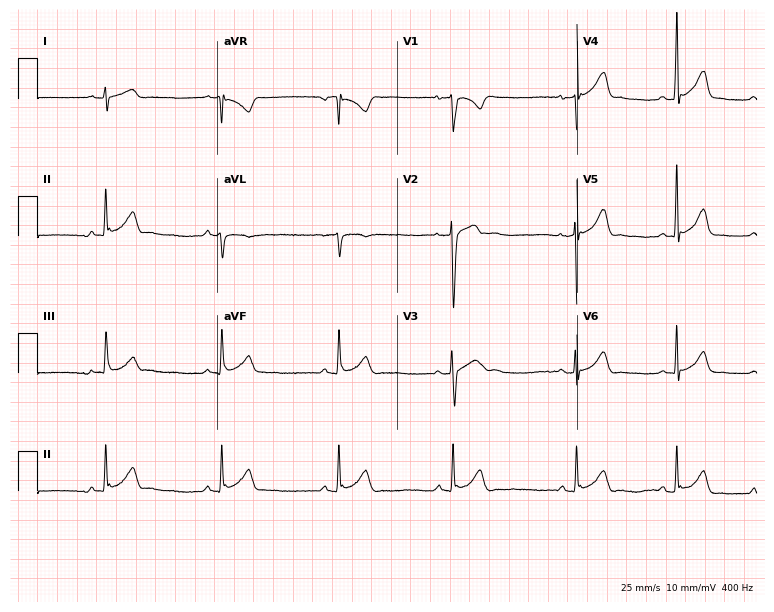
ECG — a 24-year-old man. Labelled as a normal ECG.